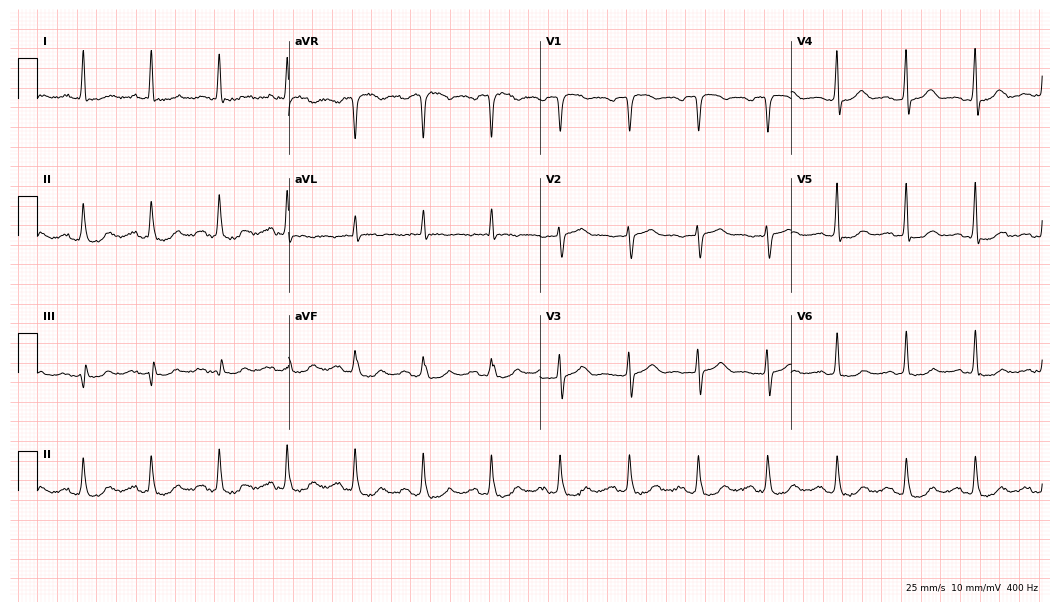
12-lead ECG from a 79-year-old male. Recorded interpretation: within normal limits.